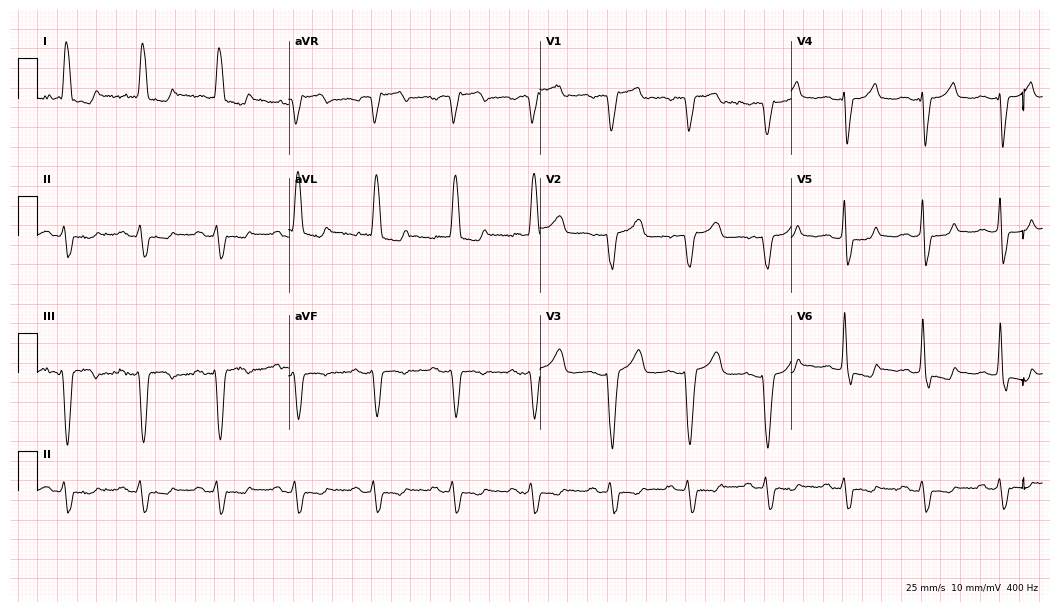
Electrocardiogram, a 70-year-old female patient. Interpretation includes left bundle branch block (LBBB).